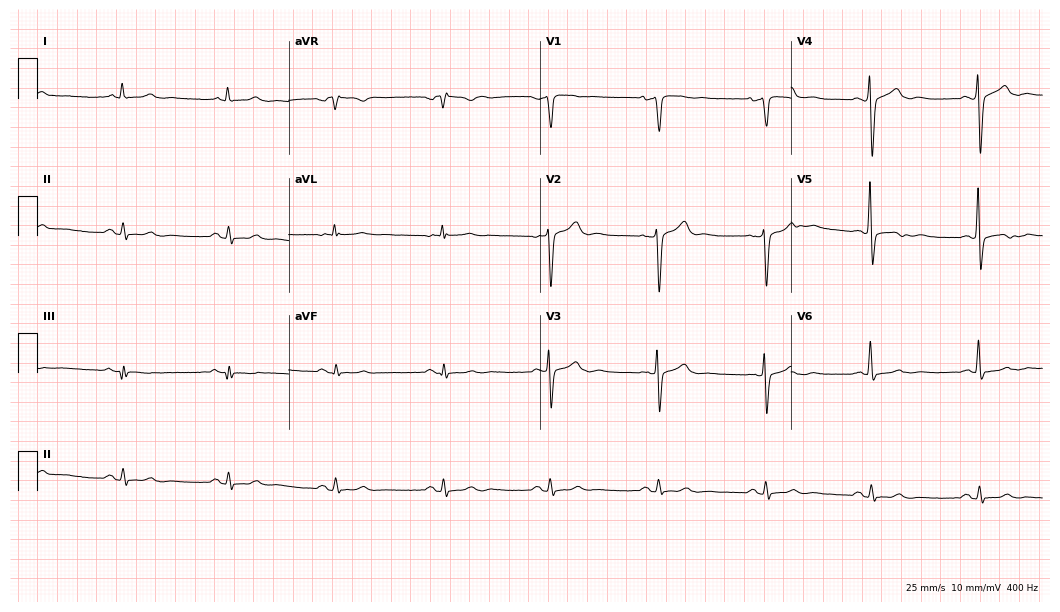
Electrocardiogram, a male patient, 64 years old. Of the six screened findings (first-degree AV block, right bundle branch block, left bundle branch block, sinus bradycardia, atrial fibrillation, sinus tachycardia), none is recorded.